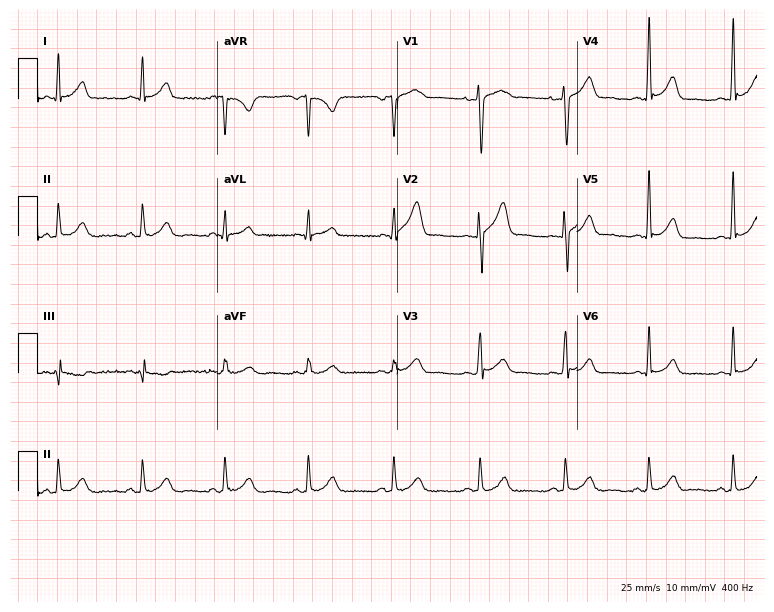
Electrocardiogram, a male patient, 27 years old. Overall reading on record: normal ECG.